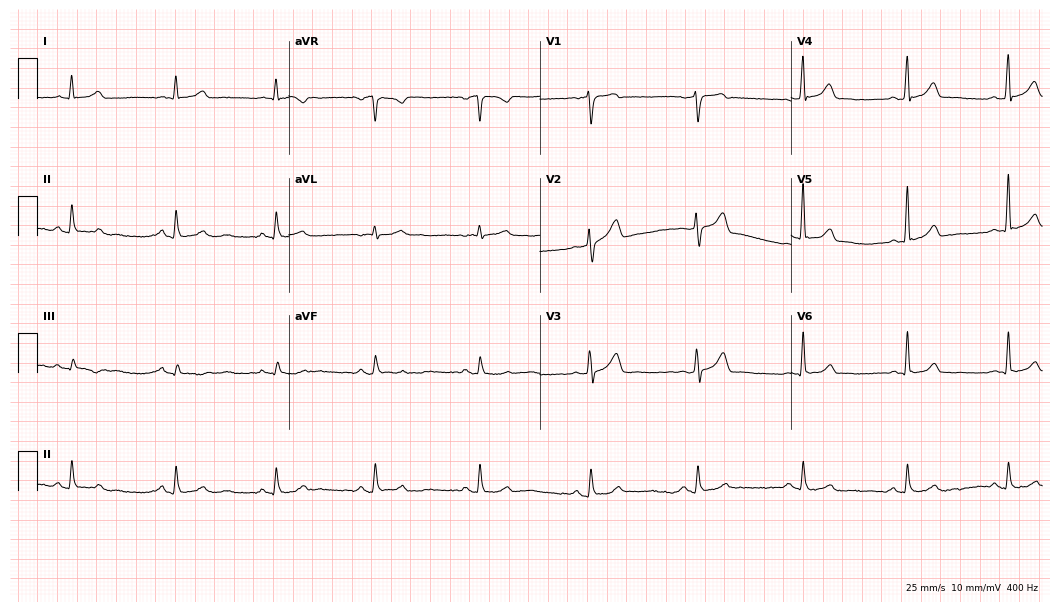
Resting 12-lead electrocardiogram. Patient: a 38-year-old male. Read as a normal ECG.